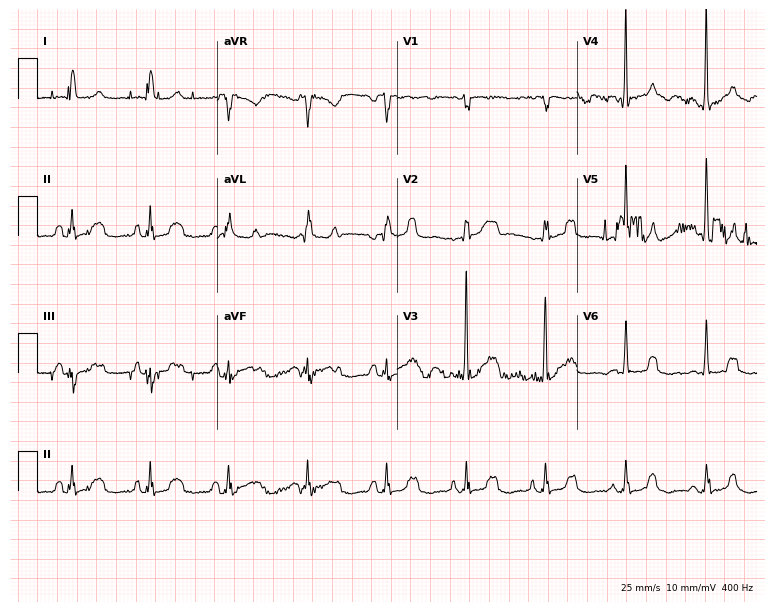
Standard 12-lead ECG recorded from a 55-year-old male patient (7.3-second recording at 400 Hz). None of these six findings is recorded: first-degree AV block, right bundle branch block (RBBB), left bundle branch block (LBBB), sinus bradycardia, atrial fibrillation (AF), sinus tachycardia.